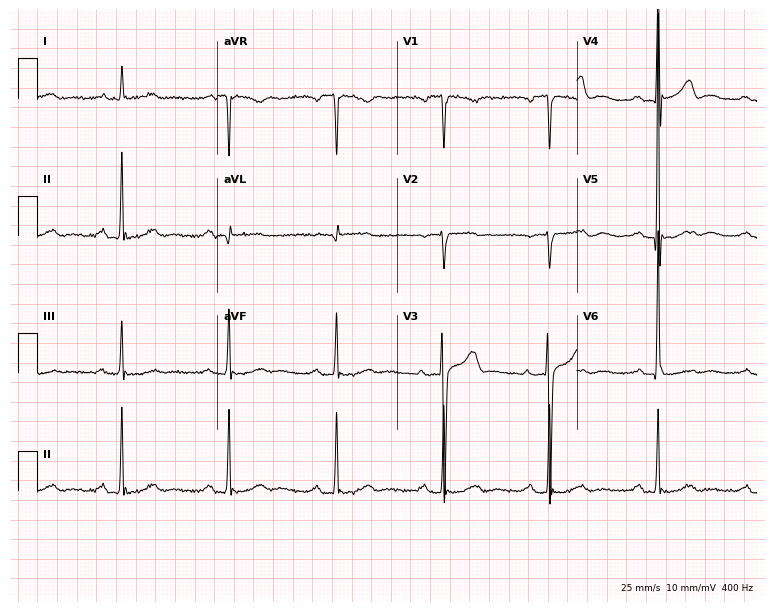
12-lead ECG from a male patient, 57 years old. Labelled as a normal ECG.